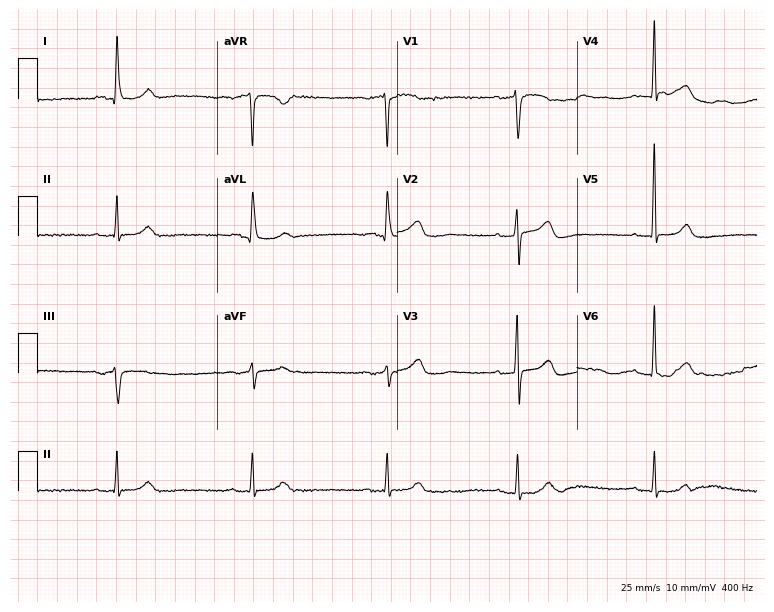
Resting 12-lead electrocardiogram (7.3-second recording at 400 Hz). Patient: a female, 79 years old. The tracing shows first-degree AV block, sinus bradycardia (a sinus rate of 50 beats per minute or less).